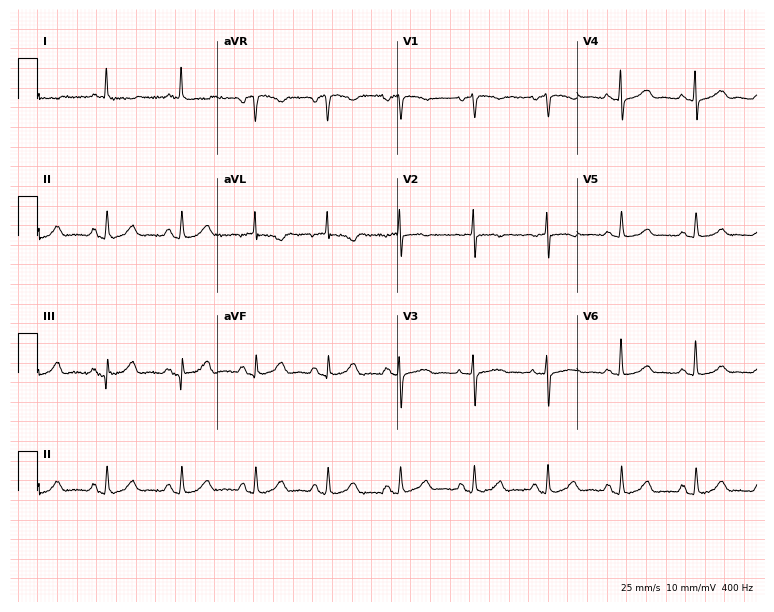
12-lead ECG (7.3-second recording at 400 Hz) from a woman, 72 years old. Screened for six findings — first-degree AV block, right bundle branch block, left bundle branch block, sinus bradycardia, atrial fibrillation, sinus tachycardia — none is recorded. Findings outside these six are not listed.